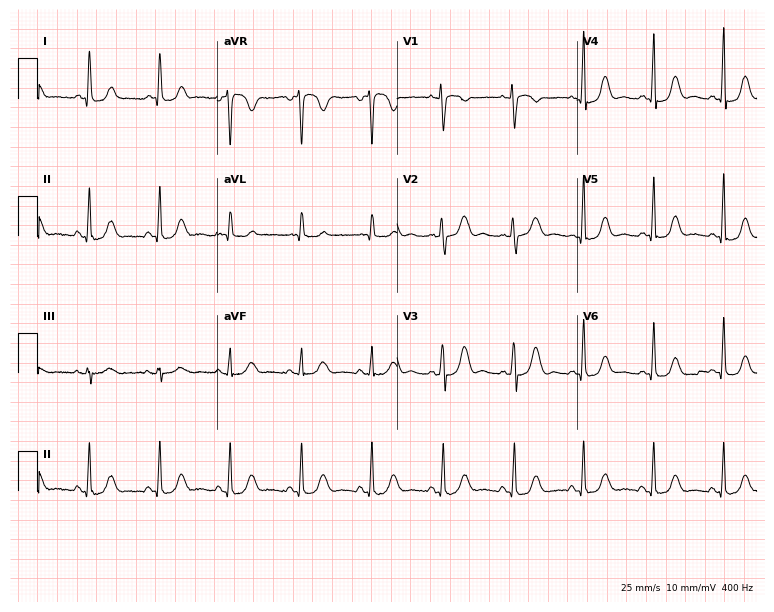
Standard 12-lead ECG recorded from a woman, 74 years old. Read as a normal ECG.